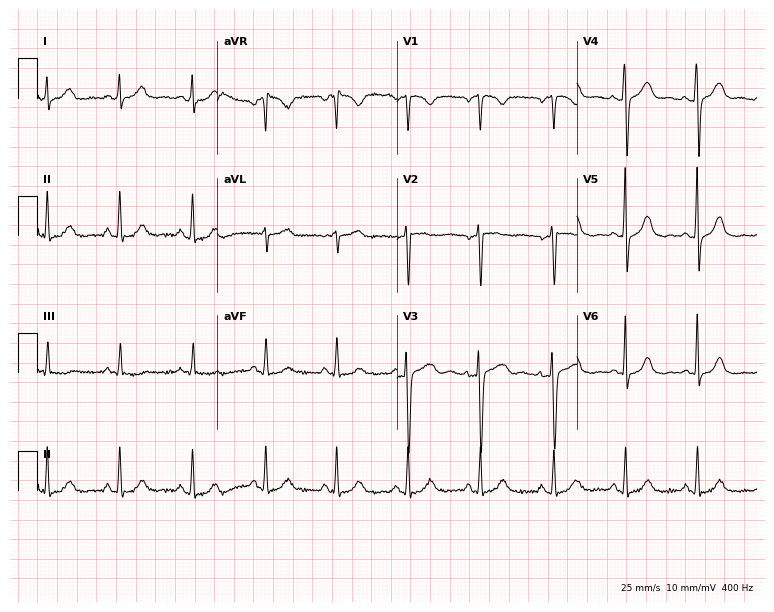
Resting 12-lead electrocardiogram. Patient: a female, 33 years old. None of these six findings is recorded: first-degree AV block, right bundle branch block, left bundle branch block, sinus bradycardia, atrial fibrillation, sinus tachycardia. Other findings, if any, are not listed.